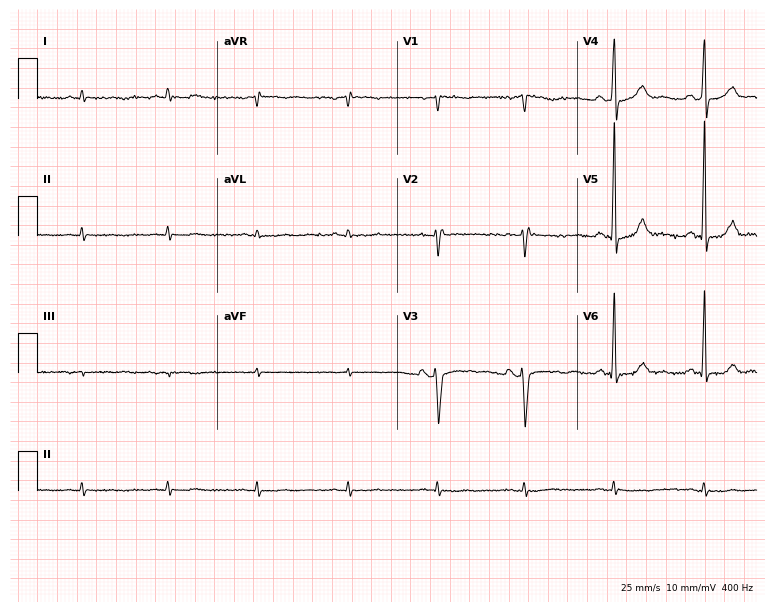
12-lead ECG (7.3-second recording at 400 Hz) from a 38-year-old woman. Labelled as a normal ECG.